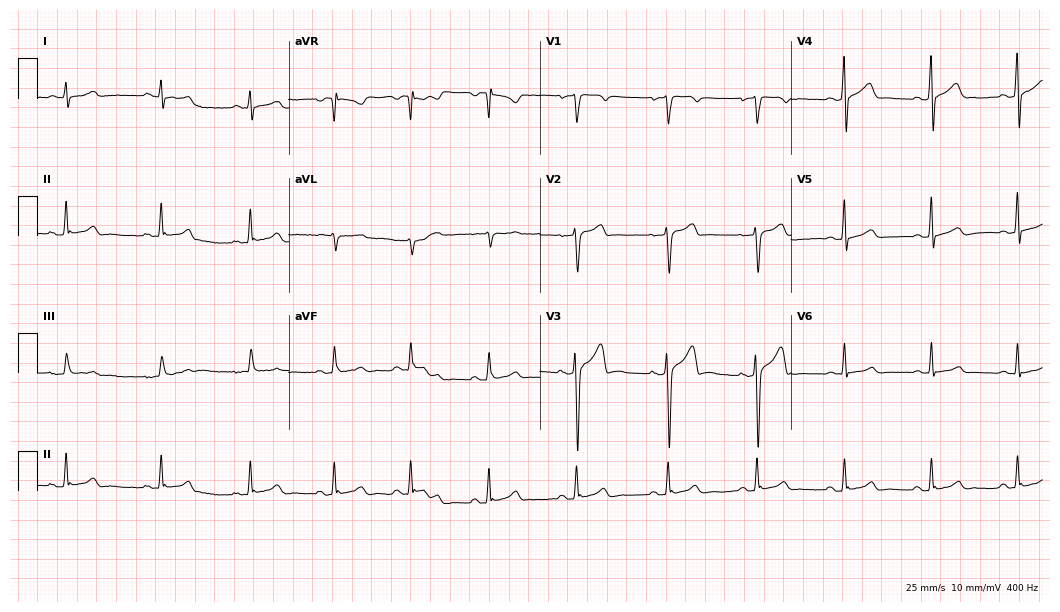
12-lead ECG (10.2-second recording at 400 Hz) from a 28-year-old male. Labelled as a normal ECG.